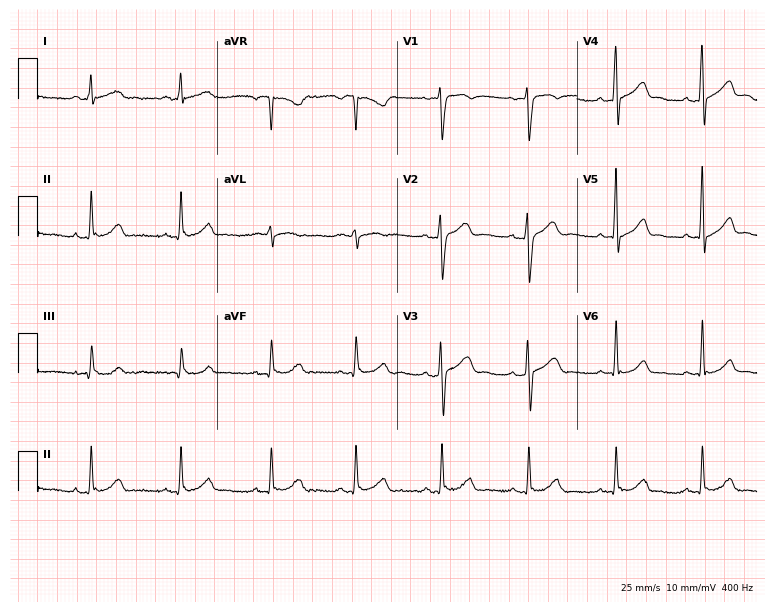
12-lead ECG from a 34-year-old male. Labelled as a normal ECG.